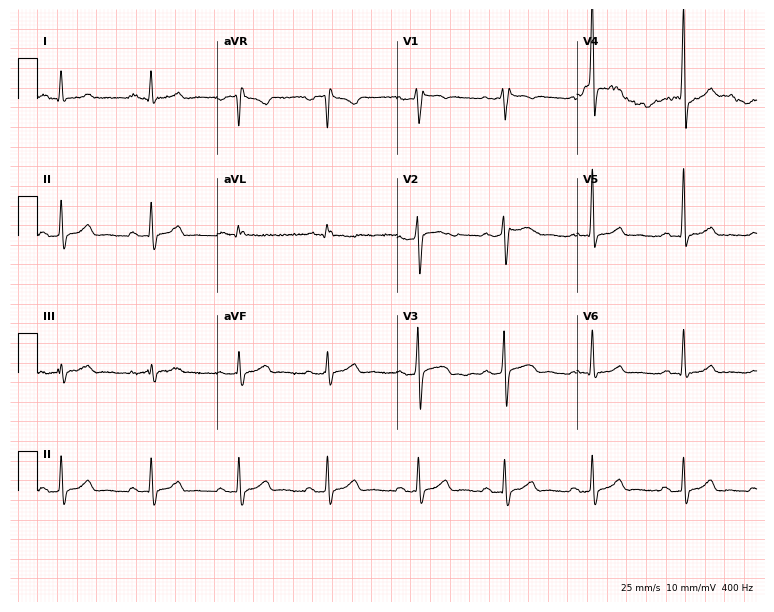
12-lead ECG (7.3-second recording at 400 Hz) from a male, 32 years old. Labelled as a normal ECG.